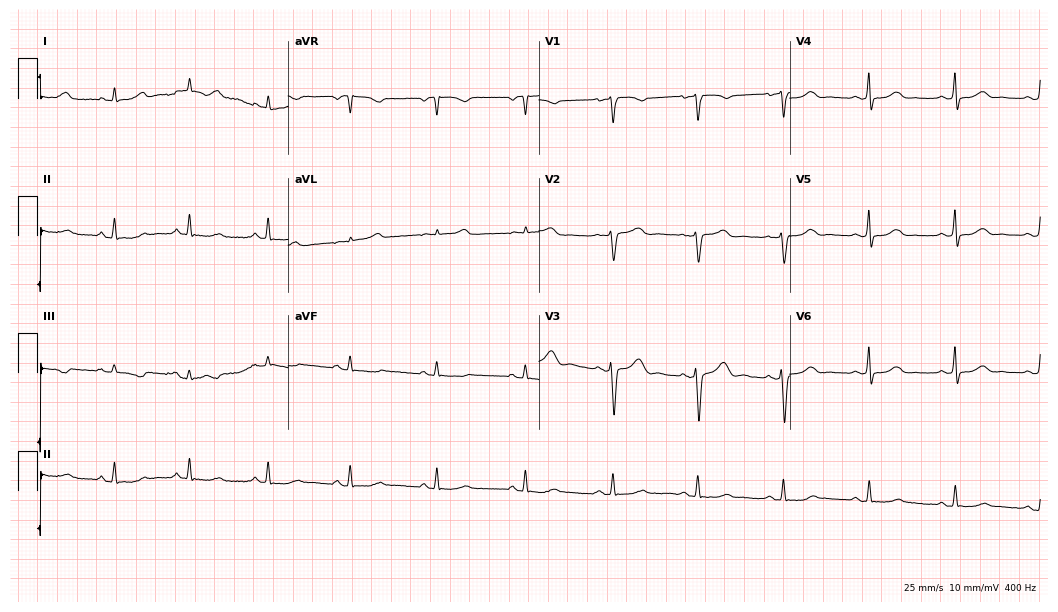
ECG (10.2-second recording at 400 Hz) — a 51-year-old female. Labelled as a normal ECG.